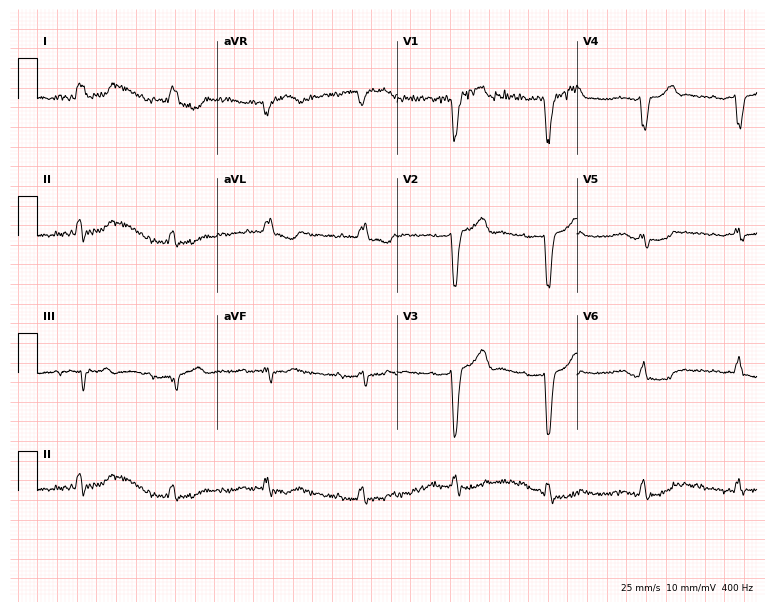
Electrocardiogram, a man, 84 years old. Interpretation includes first-degree AV block, left bundle branch block.